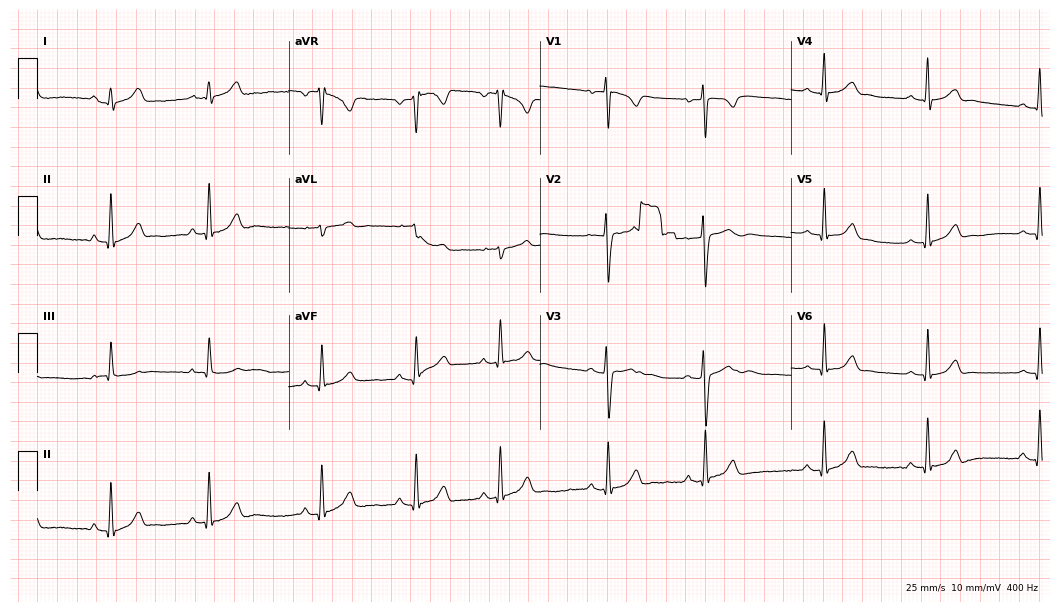
Resting 12-lead electrocardiogram. Patient: a woman, 20 years old. Read as a normal ECG.